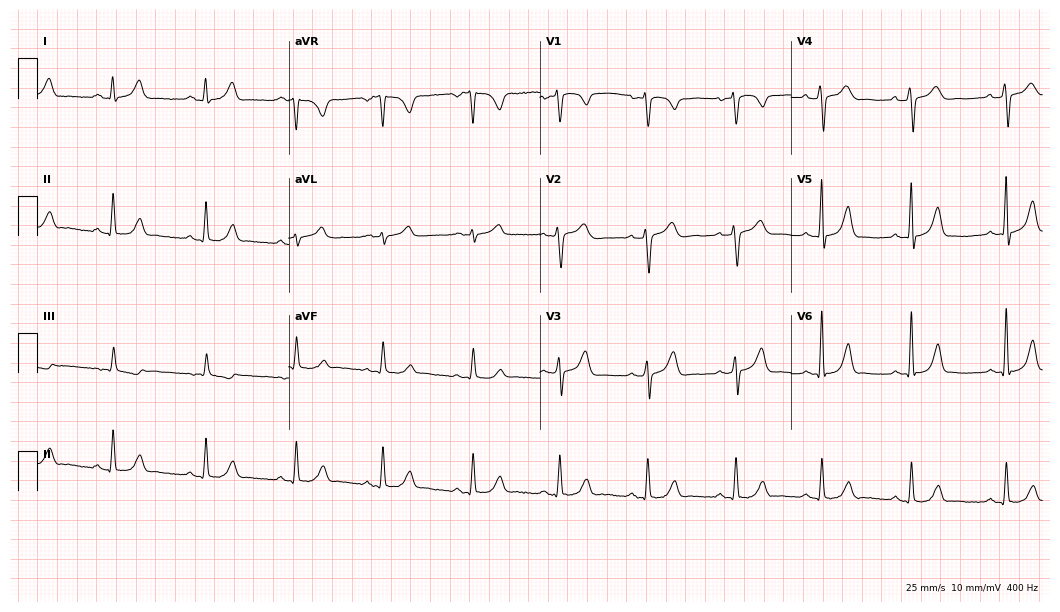
Resting 12-lead electrocardiogram (10.2-second recording at 400 Hz). Patient: a 25-year-old female. None of these six findings is recorded: first-degree AV block, right bundle branch block, left bundle branch block, sinus bradycardia, atrial fibrillation, sinus tachycardia. Other findings, if any, are not listed.